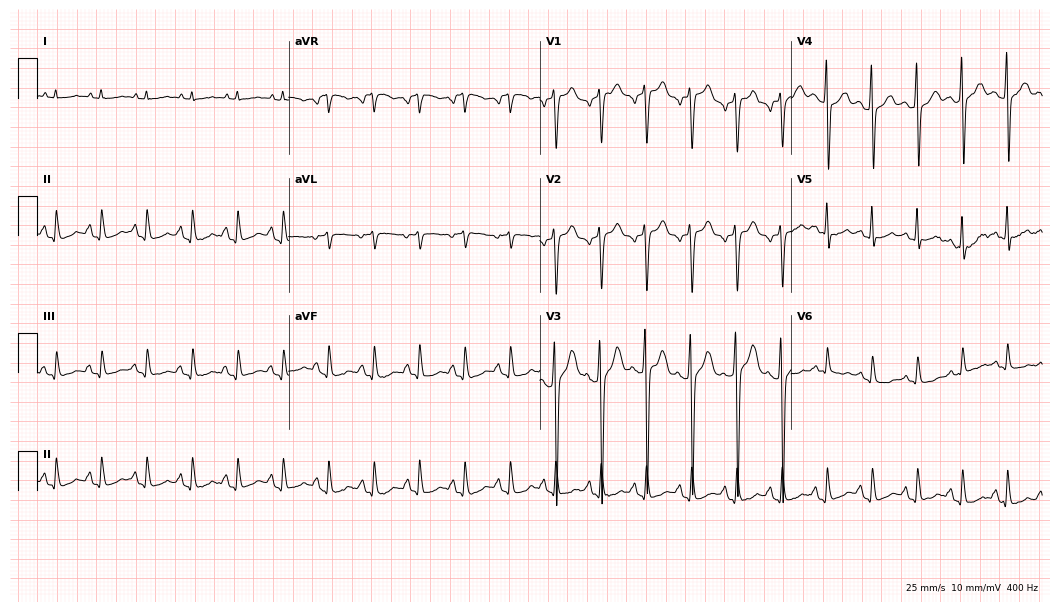
Resting 12-lead electrocardiogram. Patient: a male, 44 years old. The tracing shows sinus tachycardia (a sinus rate of 100 beats per minute or more).